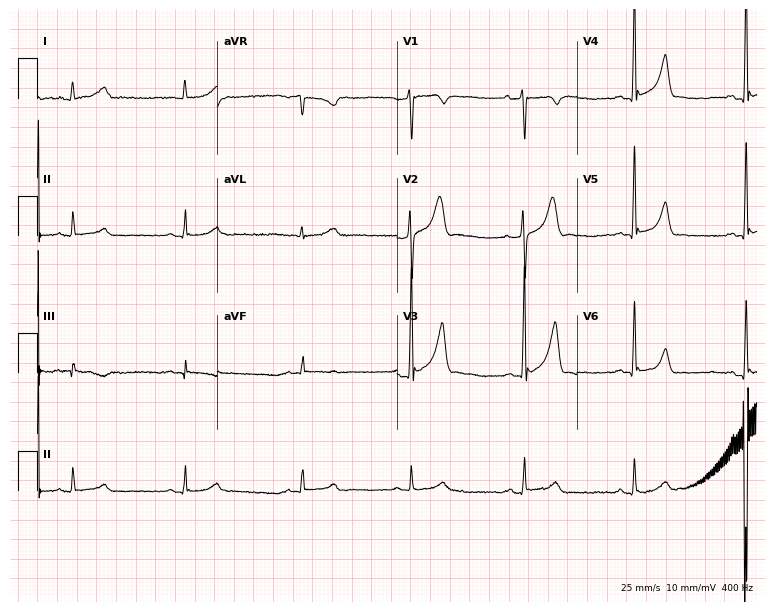
Resting 12-lead electrocardiogram. Patient: a 32-year-old man. None of these six findings is recorded: first-degree AV block, right bundle branch block, left bundle branch block, sinus bradycardia, atrial fibrillation, sinus tachycardia.